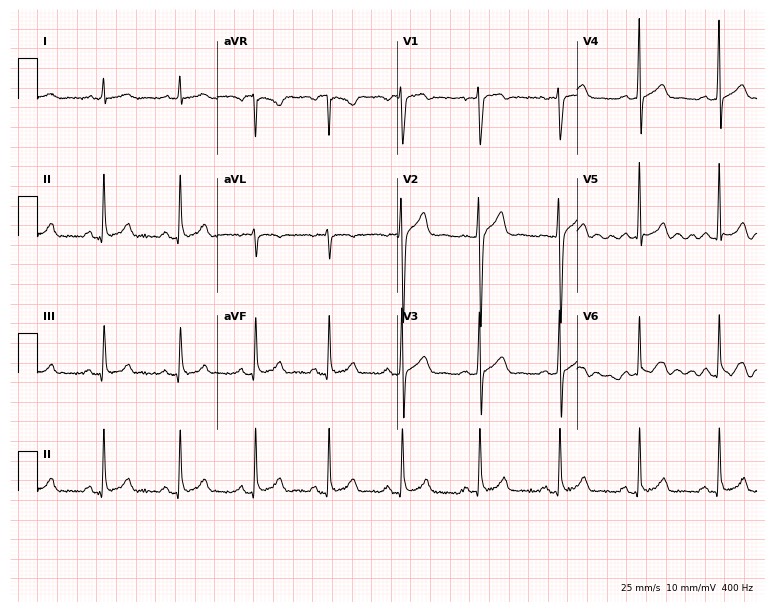
ECG — a male, 21 years old. Labelled as a normal ECG.